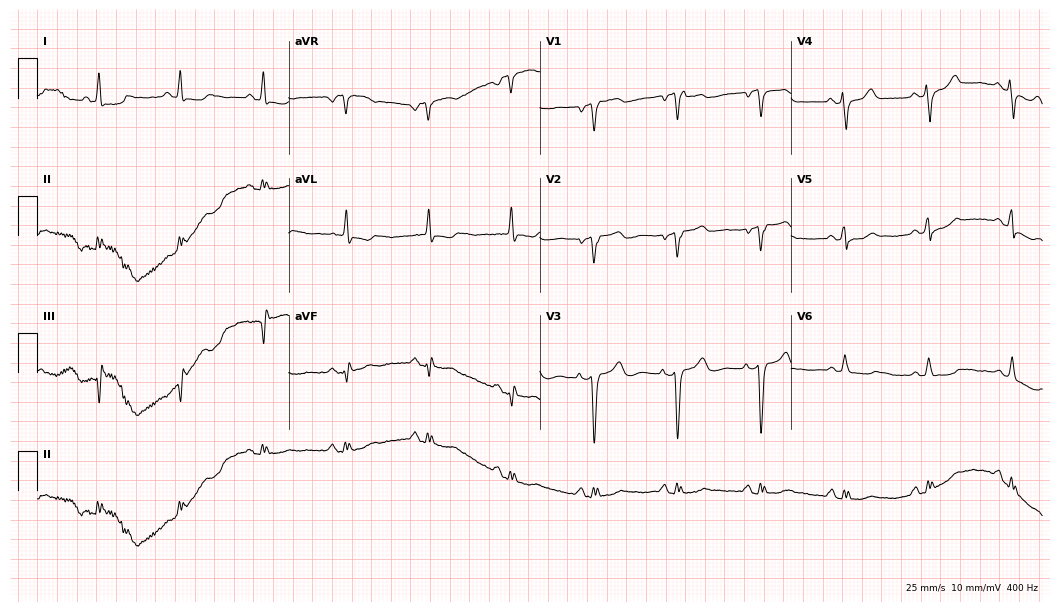
12-lead ECG from a 48-year-old female patient (10.2-second recording at 400 Hz). No first-degree AV block, right bundle branch block, left bundle branch block, sinus bradycardia, atrial fibrillation or sinus tachycardia recorded for this tracing.